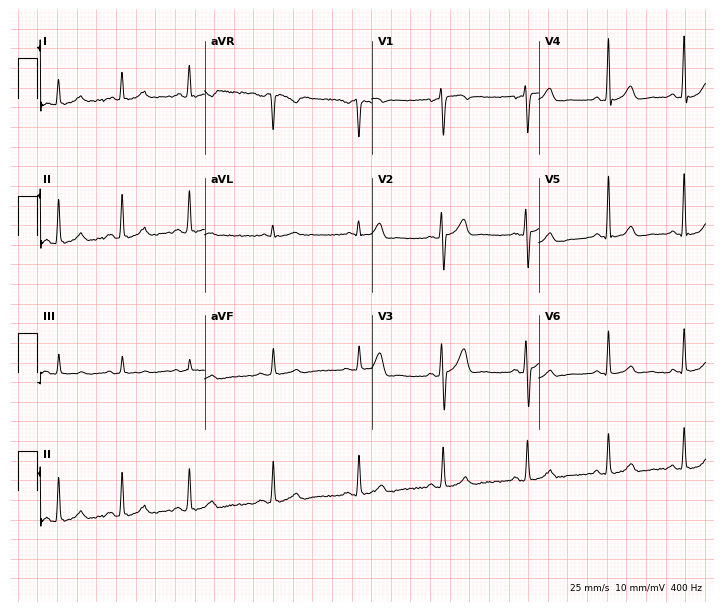
12-lead ECG from a man, 29 years old (6.8-second recording at 400 Hz). Recorded interpretation: within normal limits.